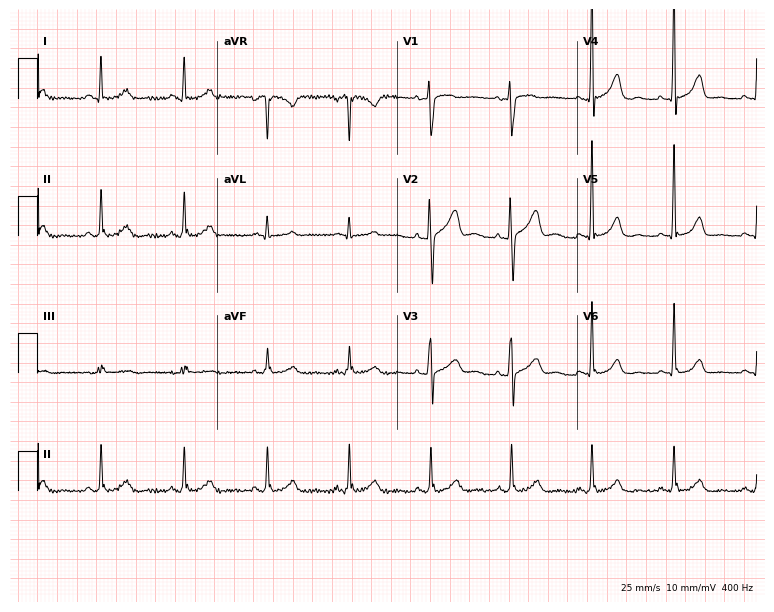
Resting 12-lead electrocardiogram (7.3-second recording at 400 Hz). Patient: a 55-year-old female. Read as a normal ECG.